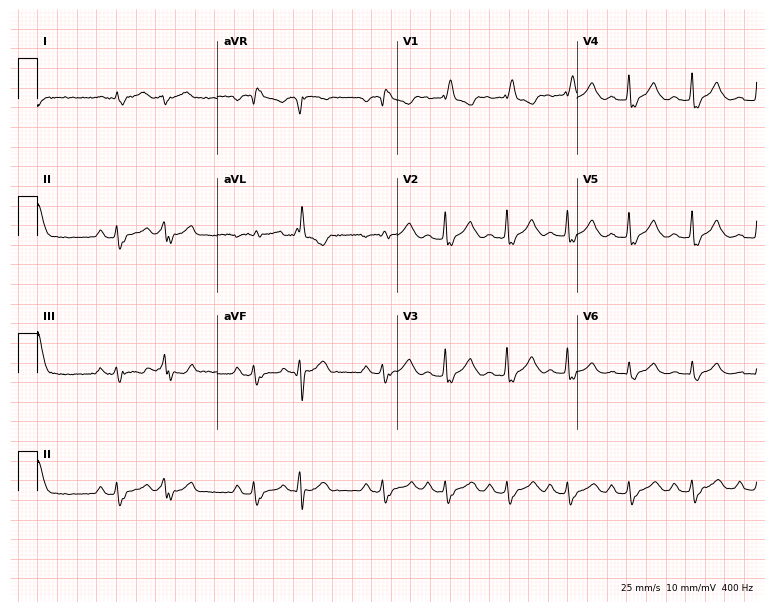
Resting 12-lead electrocardiogram. Patient: a 57-year-old male. The tracing shows right bundle branch block (RBBB).